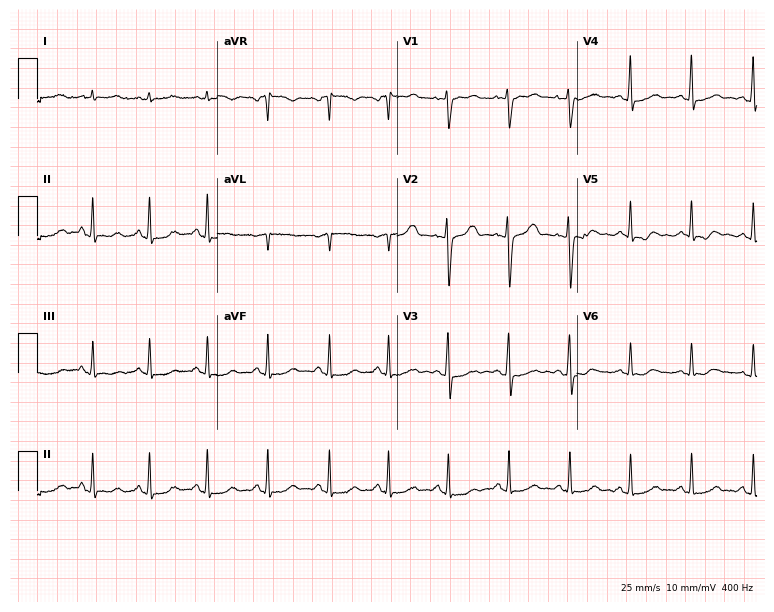
Standard 12-lead ECG recorded from a 36-year-old female. None of these six findings is recorded: first-degree AV block, right bundle branch block (RBBB), left bundle branch block (LBBB), sinus bradycardia, atrial fibrillation (AF), sinus tachycardia.